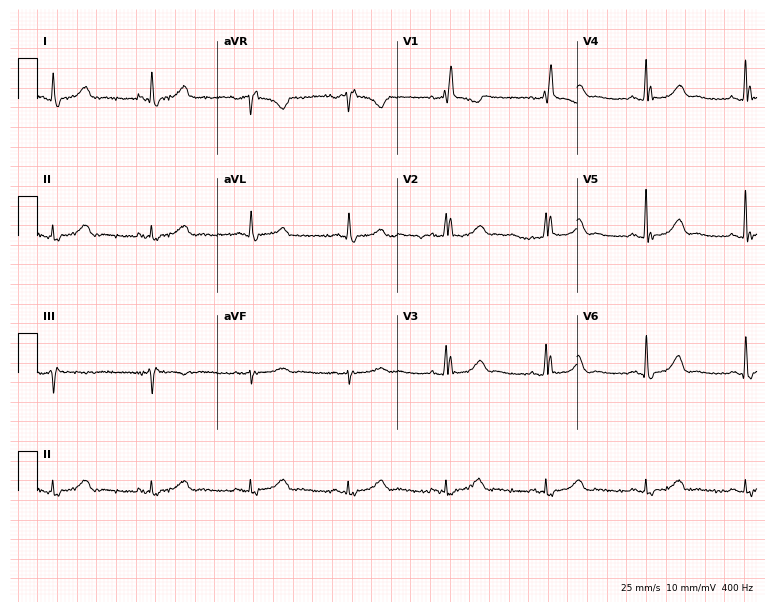
Resting 12-lead electrocardiogram (7.3-second recording at 400 Hz). Patient: a 71-year-old female. None of these six findings is recorded: first-degree AV block, right bundle branch block (RBBB), left bundle branch block (LBBB), sinus bradycardia, atrial fibrillation (AF), sinus tachycardia.